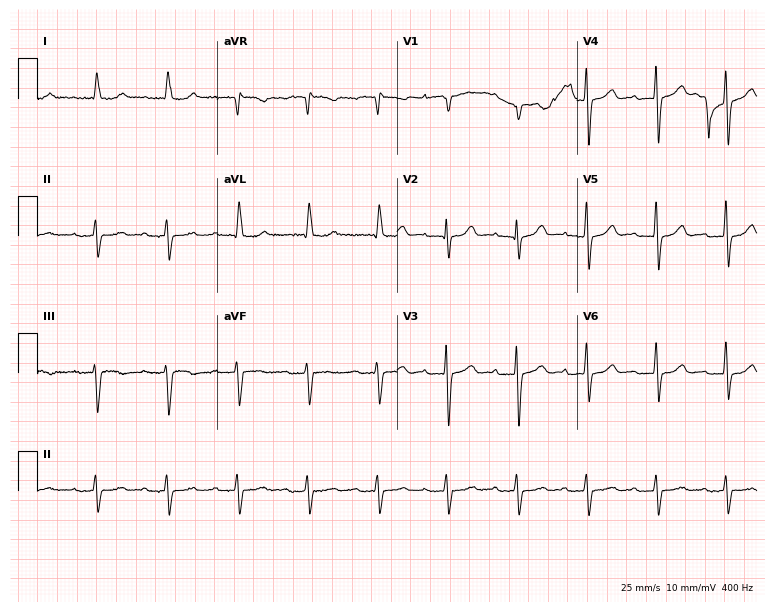
12-lead ECG from a female patient, 84 years old. Shows first-degree AV block.